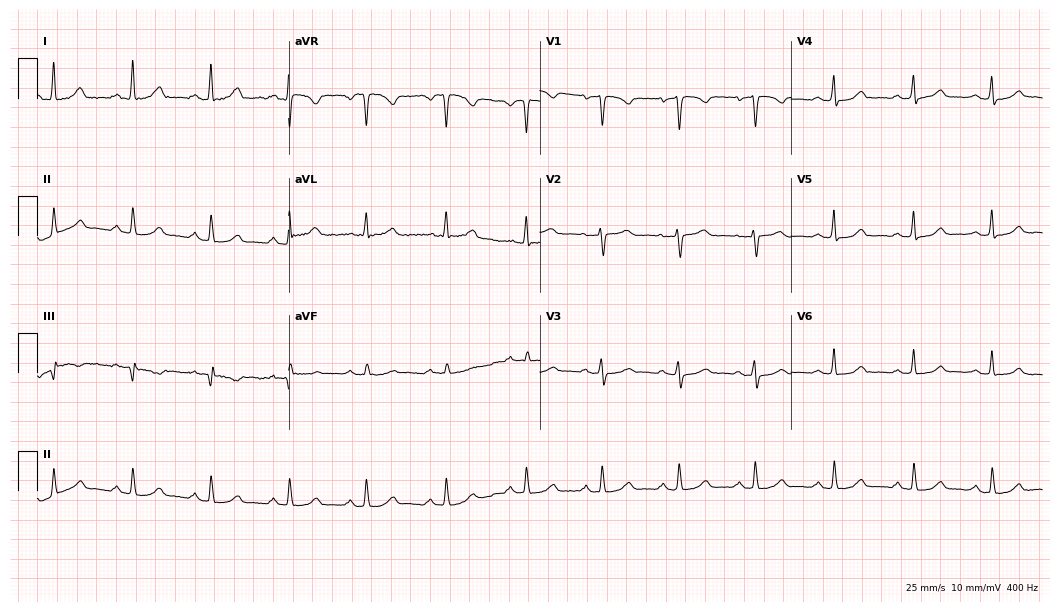
Electrocardiogram (10.2-second recording at 400 Hz), a female patient, 42 years old. Overall reading on record: normal ECG.